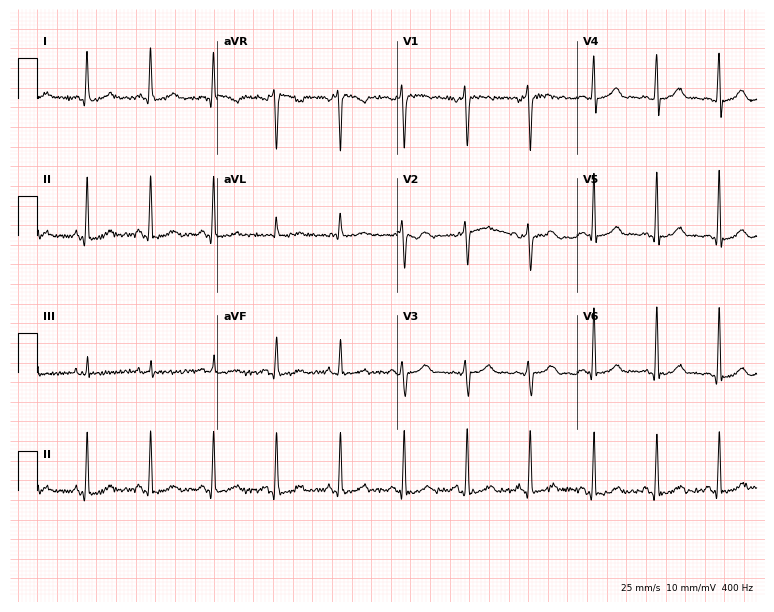
12-lead ECG from a female patient, 37 years old. Labelled as a normal ECG.